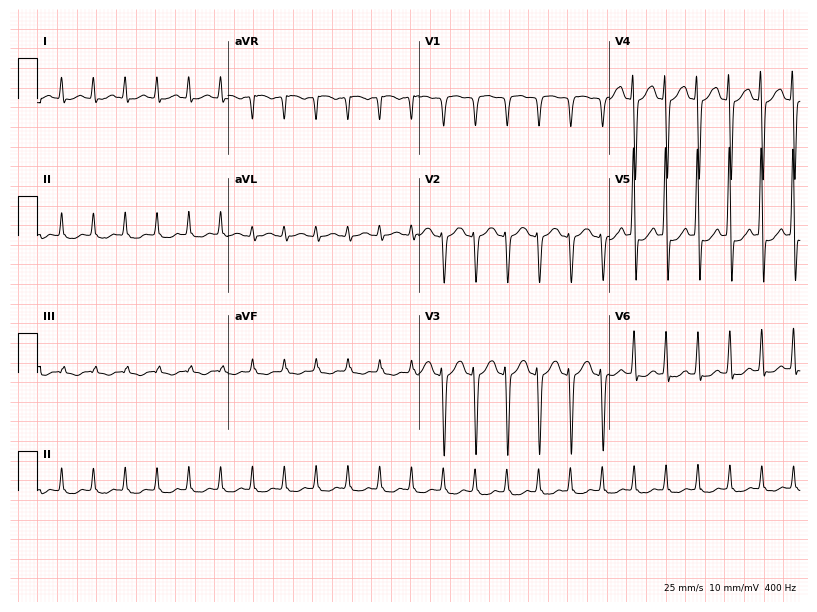
Resting 12-lead electrocardiogram. Patient: a male, 57 years old. The tracing shows sinus tachycardia (a sinus rate of 100 beats per minute or more).